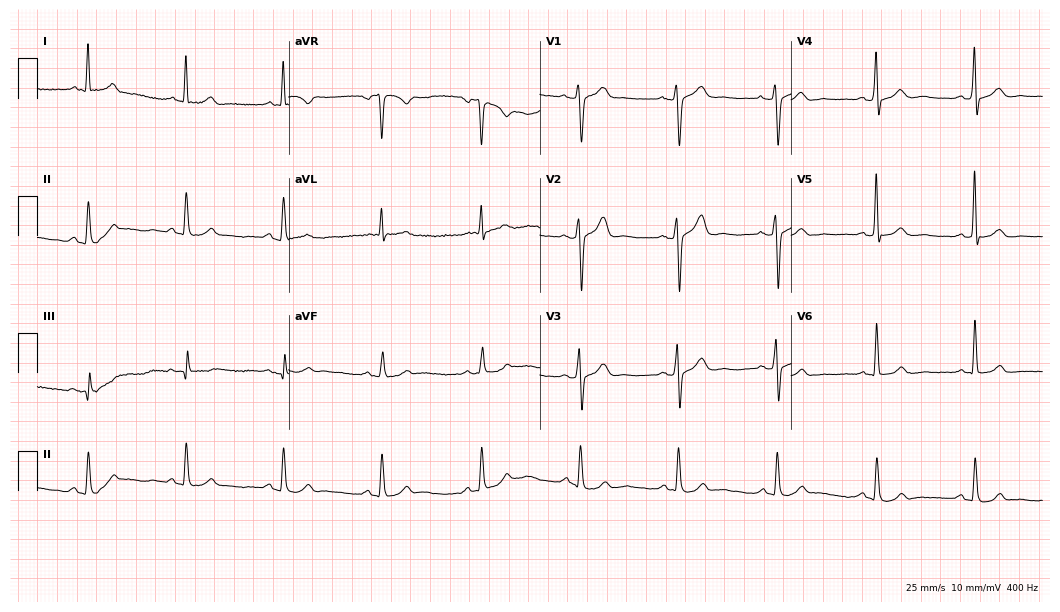
ECG (10.2-second recording at 400 Hz) — a 53-year-old man. Labelled as a normal ECG.